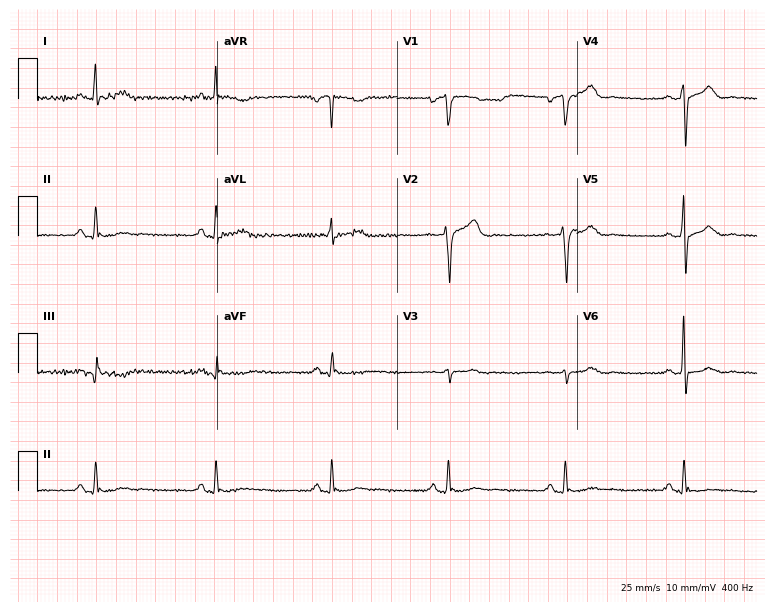
Resting 12-lead electrocardiogram (7.3-second recording at 400 Hz). Patient: a male, 64 years old. None of these six findings is recorded: first-degree AV block, right bundle branch block (RBBB), left bundle branch block (LBBB), sinus bradycardia, atrial fibrillation (AF), sinus tachycardia. Other findings, if any, are not listed.